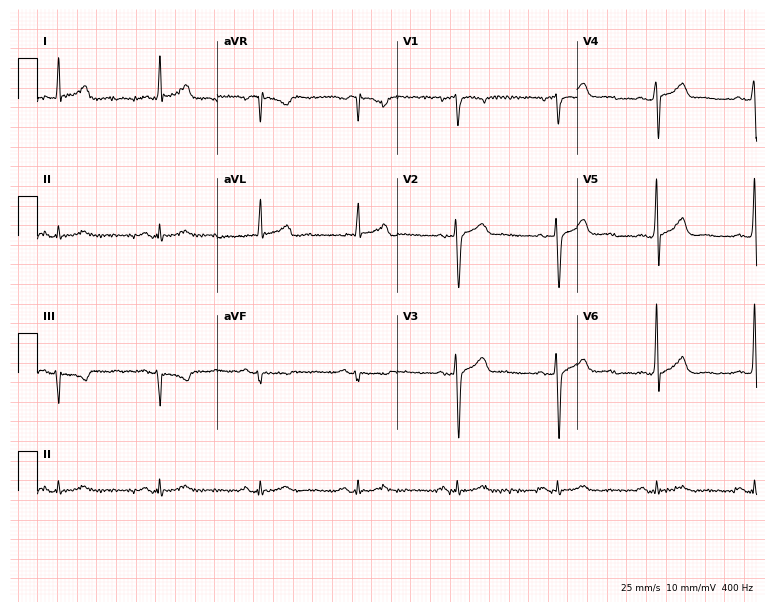
Electrocardiogram, a 75-year-old male. Overall reading on record: normal ECG.